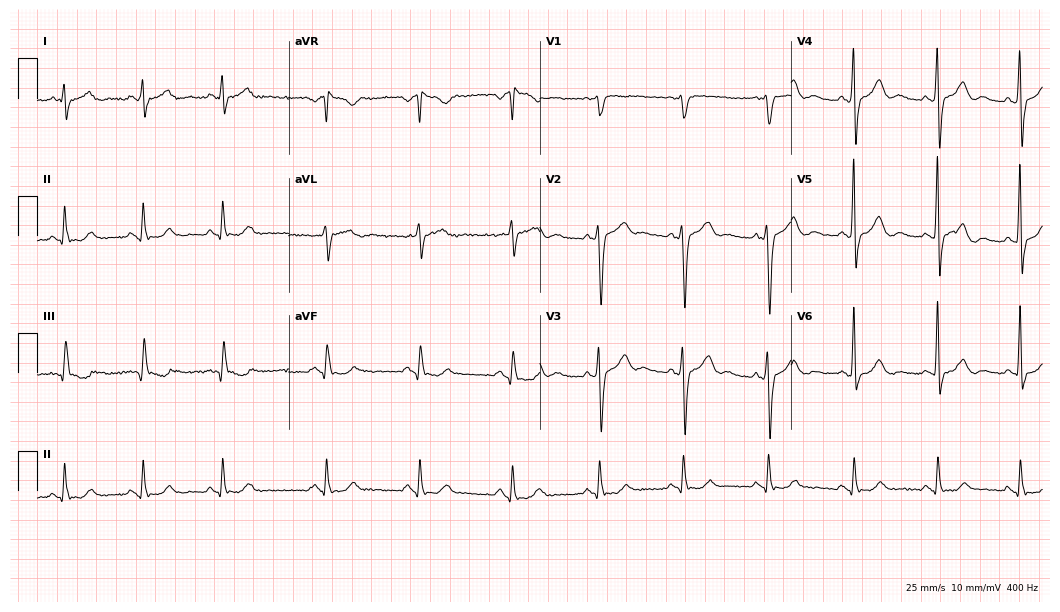
12-lead ECG from a male, 65 years old. No first-degree AV block, right bundle branch block, left bundle branch block, sinus bradycardia, atrial fibrillation or sinus tachycardia recorded for this tracing. Only these six findings were labelled.